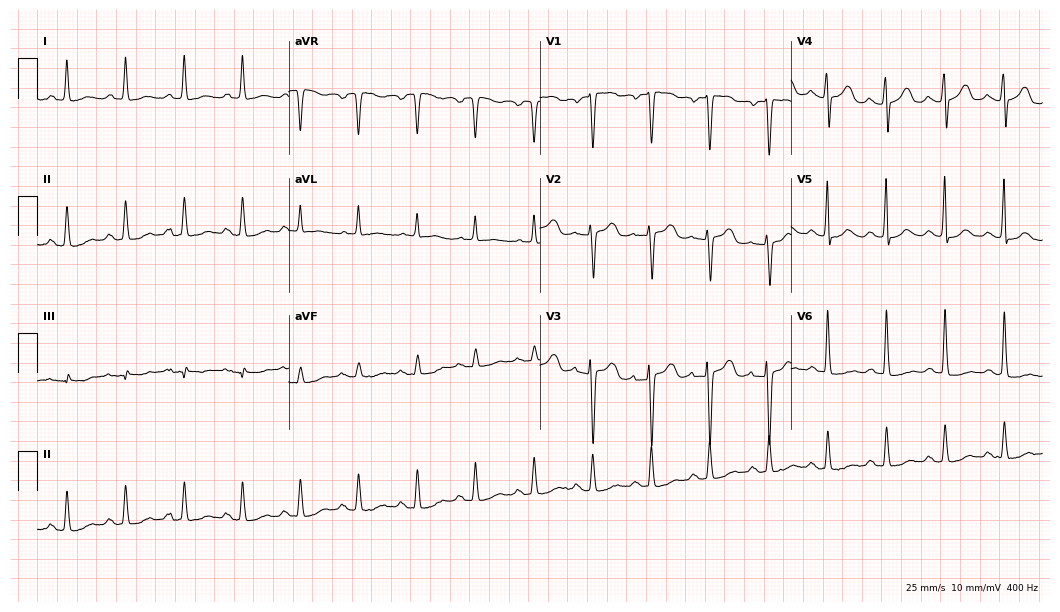
12-lead ECG from a woman, 68 years old. Findings include sinus tachycardia (a sinus rate of 100 beats per minute or more).